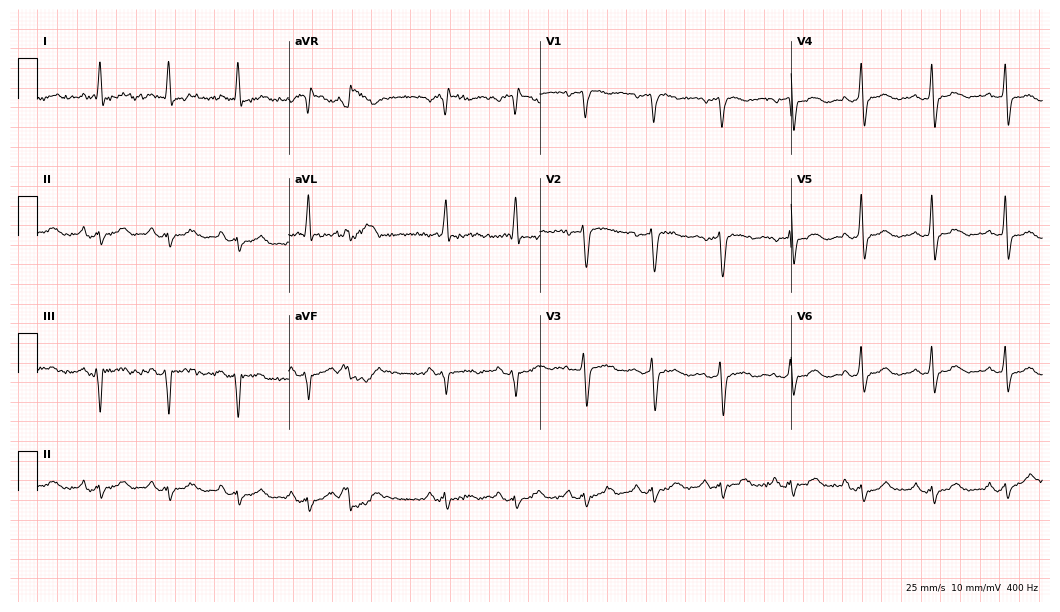
Standard 12-lead ECG recorded from a man, 68 years old (10.2-second recording at 400 Hz). None of these six findings is recorded: first-degree AV block, right bundle branch block, left bundle branch block, sinus bradycardia, atrial fibrillation, sinus tachycardia. Other findings, if any, are not listed.